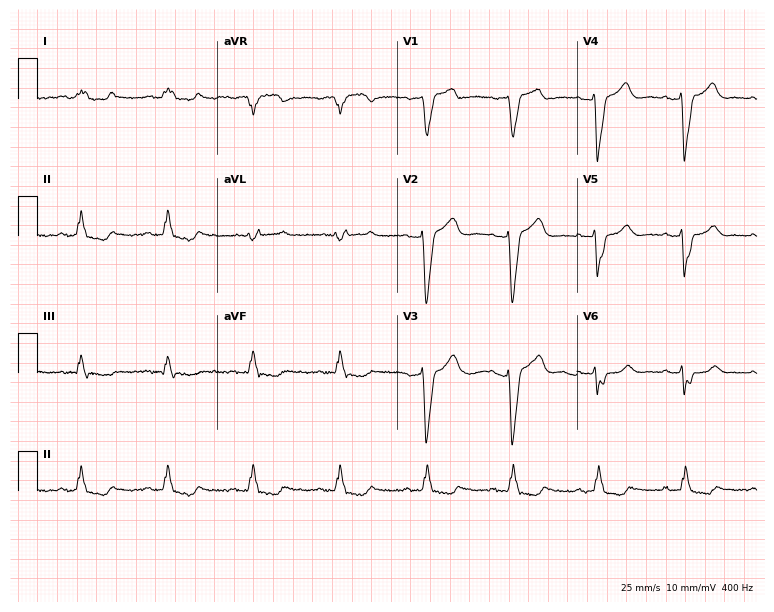
12-lead ECG (7.3-second recording at 400 Hz) from a female patient, 73 years old. Findings include left bundle branch block.